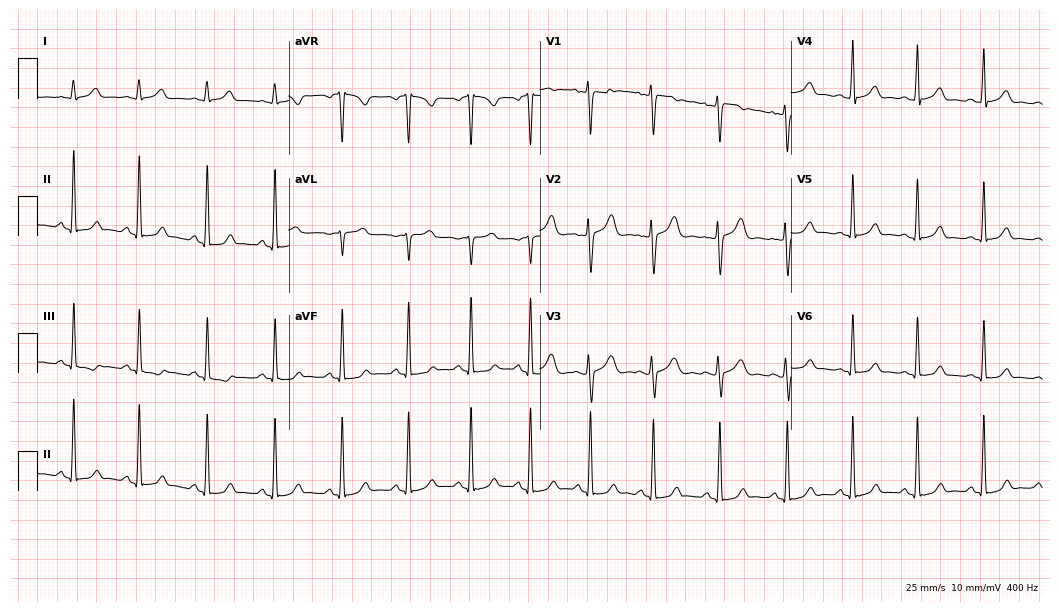
12-lead ECG from a female, 25 years old (10.2-second recording at 400 Hz). No first-degree AV block, right bundle branch block (RBBB), left bundle branch block (LBBB), sinus bradycardia, atrial fibrillation (AF) or sinus tachycardia recorded for this tracing.